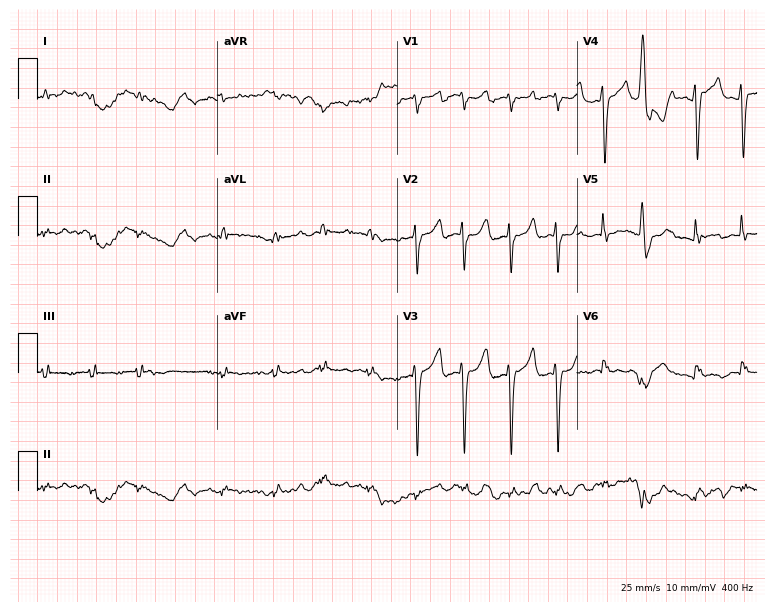
12-lead ECG (7.3-second recording at 400 Hz) from a male, 58 years old. Findings include atrial fibrillation (AF).